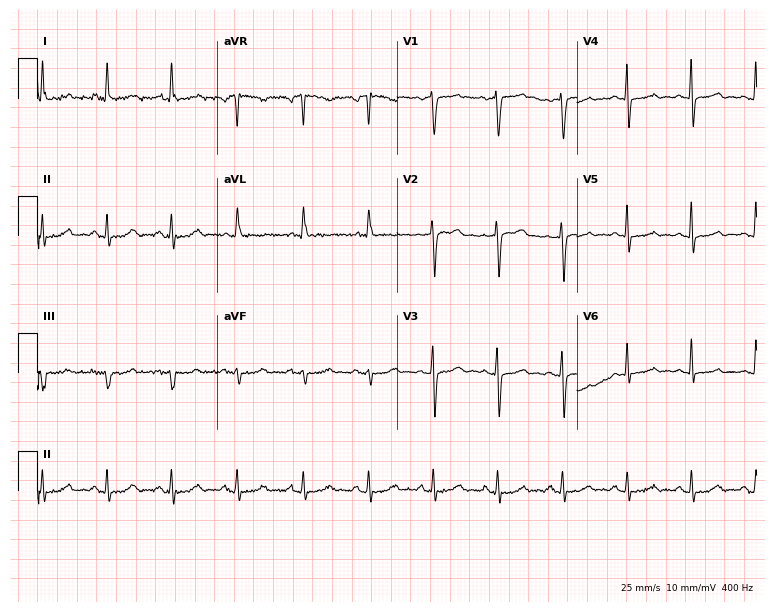
12-lead ECG from a 67-year-old female. No first-degree AV block, right bundle branch block (RBBB), left bundle branch block (LBBB), sinus bradycardia, atrial fibrillation (AF) or sinus tachycardia recorded for this tracing. Findings outside these six are not listed.